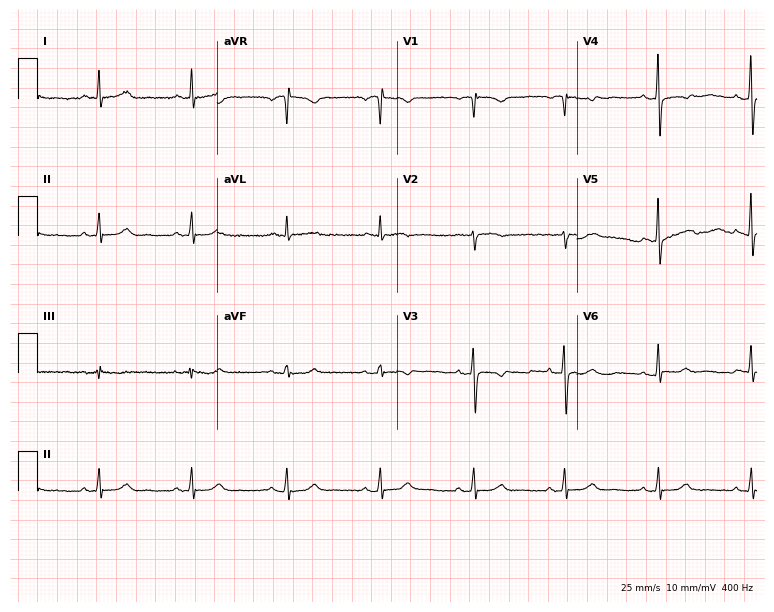
Electrocardiogram, a man, 55 years old. Of the six screened findings (first-degree AV block, right bundle branch block (RBBB), left bundle branch block (LBBB), sinus bradycardia, atrial fibrillation (AF), sinus tachycardia), none is recorded. Findings outside these six are not listed.